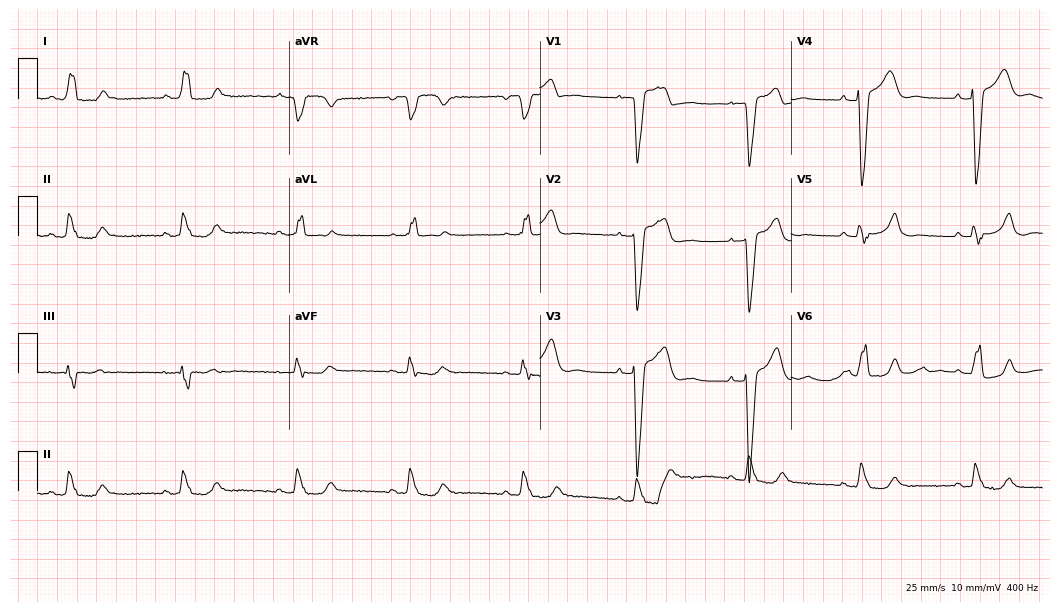
Standard 12-lead ECG recorded from a 68-year-old female. The tracing shows left bundle branch block (LBBB).